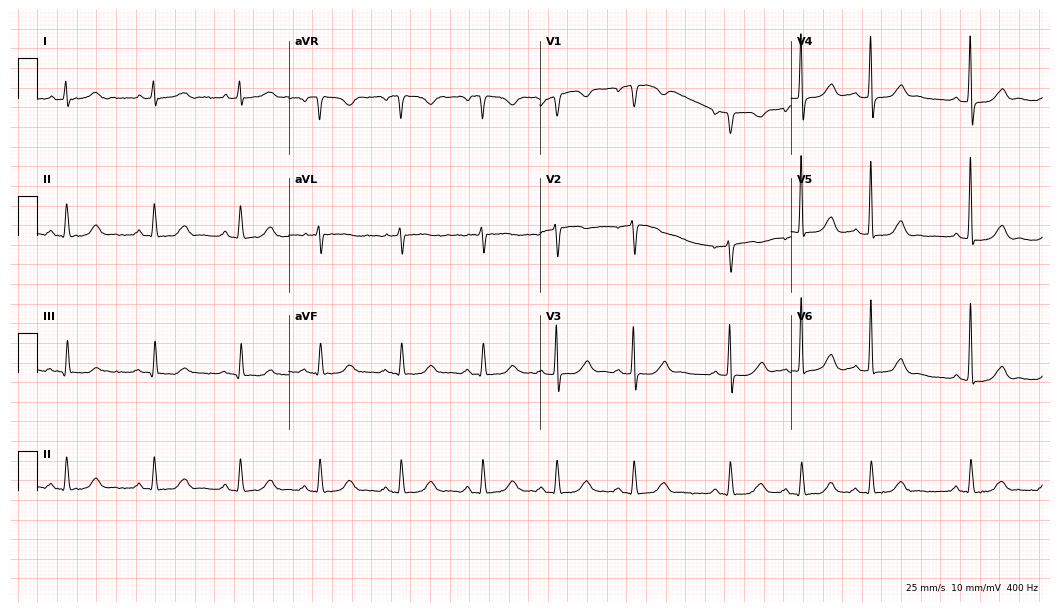
12-lead ECG from a 72-year-old female patient. Recorded interpretation: within normal limits.